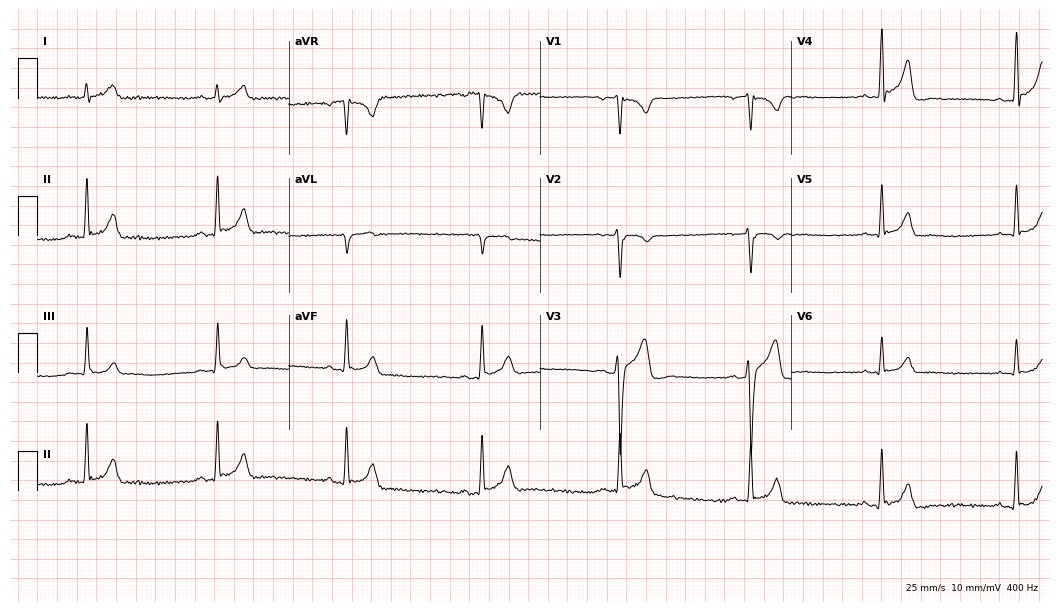
12-lead ECG from a man, 35 years old (10.2-second recording at 400 Hz). Shows sinus bradycardia (a sinus rate of 50 beats per minute or less).